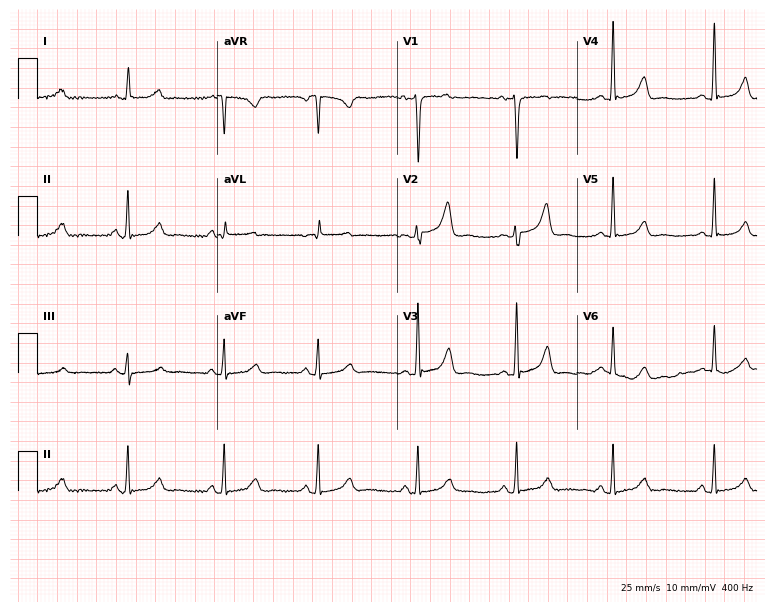
12-lead ECG from a female patient, 51 years old (7.3-second recording at 400 Hz). Recorded interpretation: within normal limits.